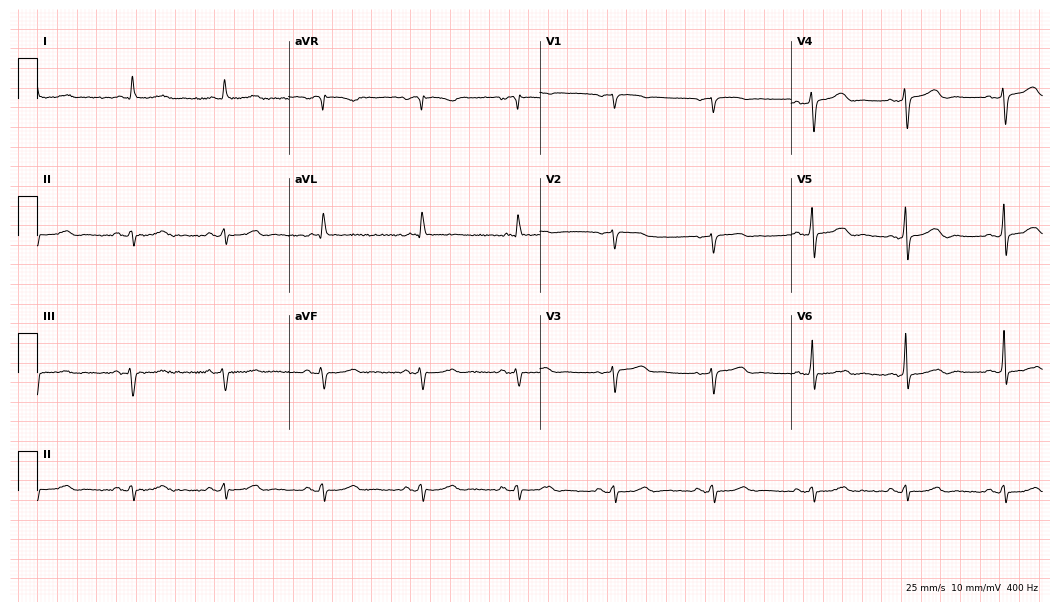
ECG (10.2-second recording at 400 Hz) — a 73-year-old woman. Screened for six findings — first-degree AV block, right bundle branch block (RBBB), left bundle branch block (LBBB), sinus bradycardia, atrial fibrillation (AF), sinus tachycardia — none is recorded. Findings outside these six are not listed.